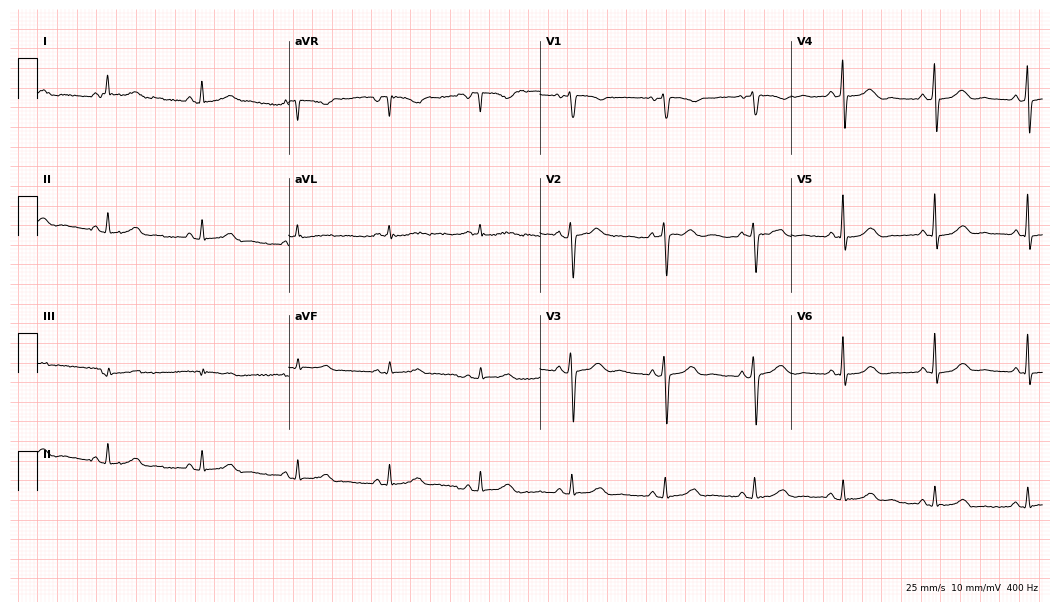
12-lead ECG from a 53-year-old woman. Labelled as a normal ECG.